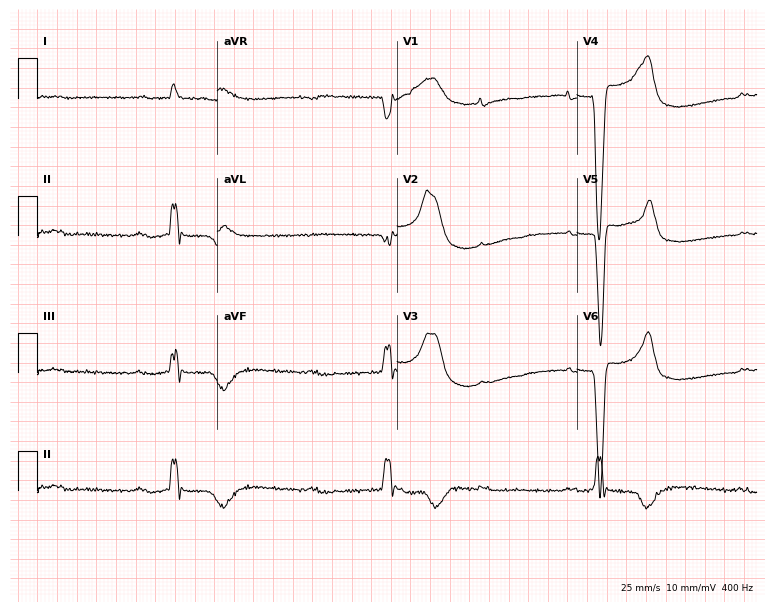
ECG — an 83-year-old male. Screened for six findings — first-degree AV block, right bundle branch block (RBBB), left bundle branch block (LBBB), sinus bradycardia, atrial fibrillation (AF), sinus tachycardia — none is recorded.